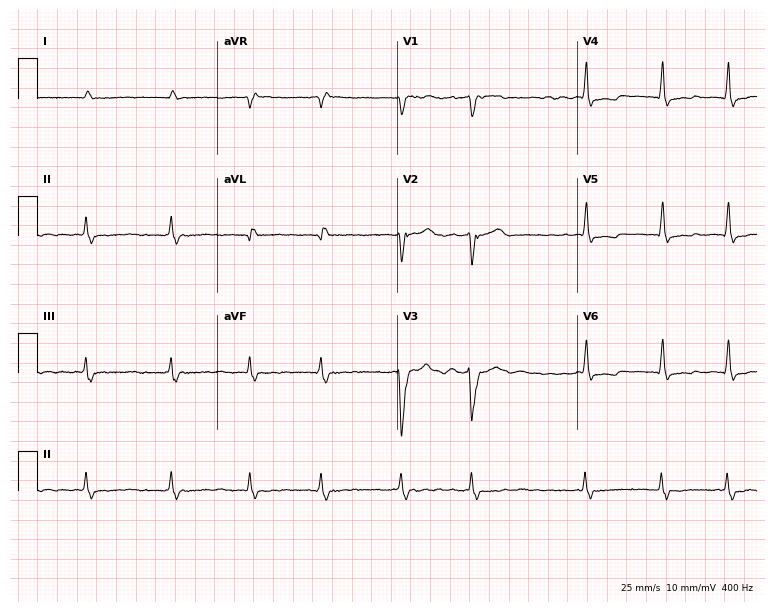
12-lead ECG from a man, 86 years old. Findings include atrial fibrillation (AF).